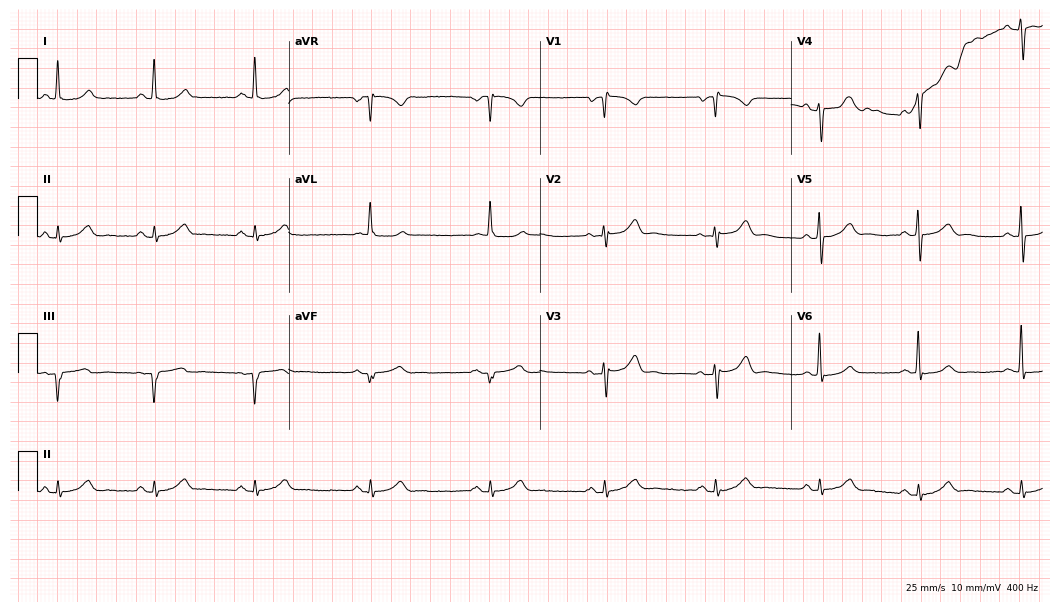
ECG (10.2-second recording at 400 Hz) — a male patient, 67 years old. Screened for six findings — first-degree AV block, right bundle branch block, left bundle branch block, sinus bradycardia, atrial fibrillation, sinus tachycardia — none is recorded.